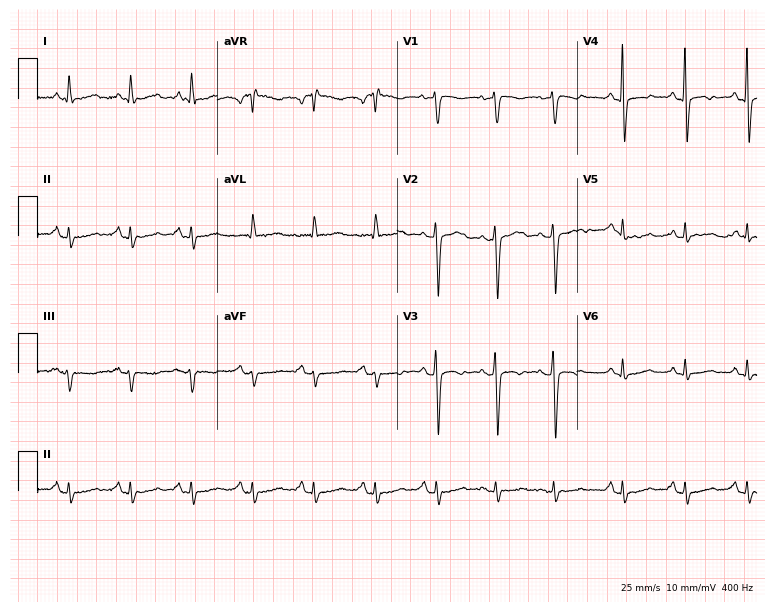
Resting 12-lead electrocardiogram. Patient: a woman, 83 years old. None of these six findings is recorded: first-degree AV block, right bundle branch block, left bundle branch block, sinus bradycardia, atrial fibrillation, sinus tachycardia. Findings outside these six are not listed.